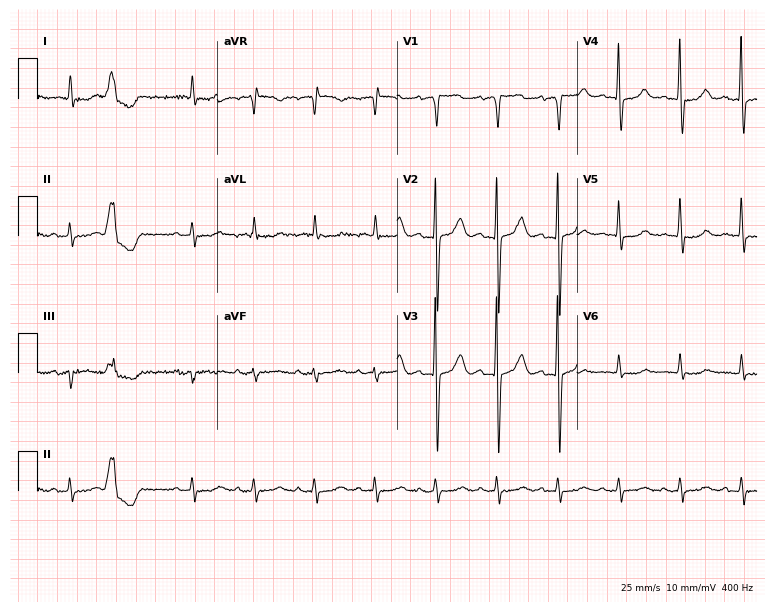
12-lead ECG from an 87-year-old female. Screened for six findings — first-degree AV block, right bundle branch block, left bundle branch block, sinus bradycardia, atrial fibrillation, sinus tachycardia — none is recorded. Other findings, if any, are not listed.